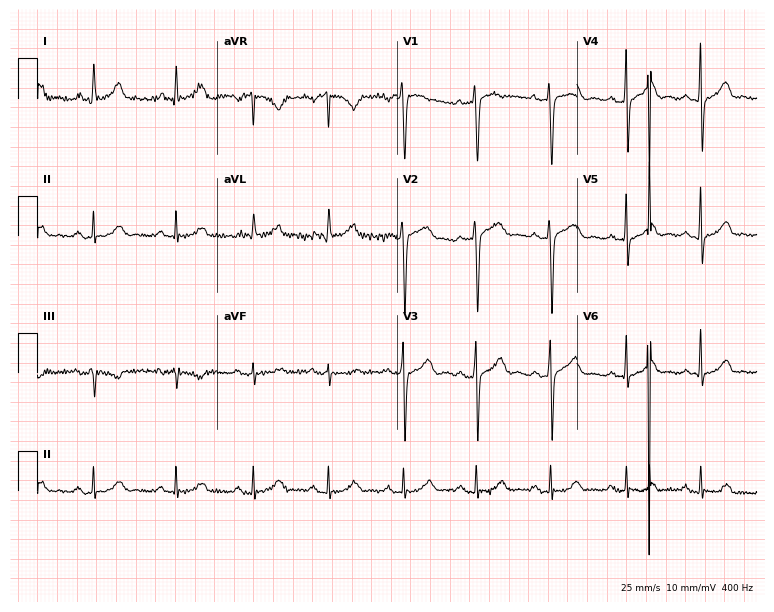
Standard 12-lead ECG recorded from a 63-year-old man. None of these six findings is recorded: first-degree AV block, right bundle branch block, left bundle branch block, sinus bradycardia, atrial fibrillation, sinus tachycardia. Findings outside these six are not listed.